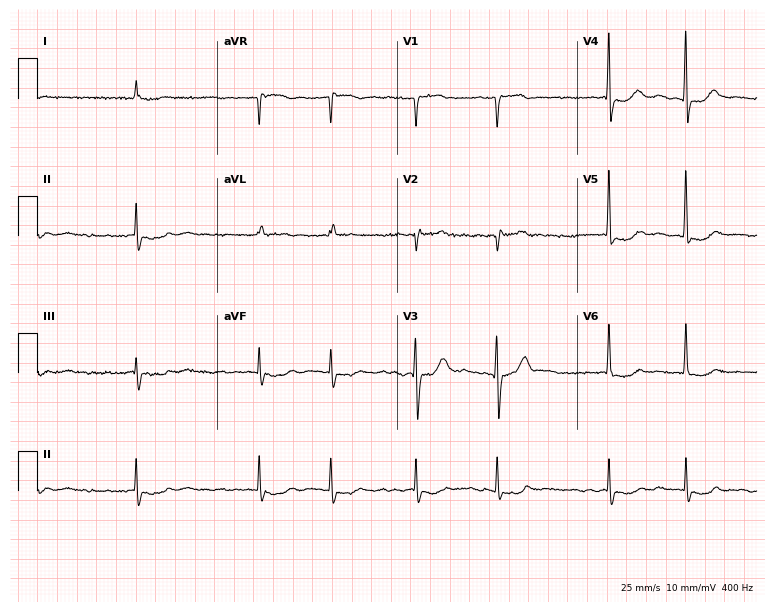
Standard 12-lead ECG recorded from an 85-year-old male. The tracing shows atrial fibrillation.